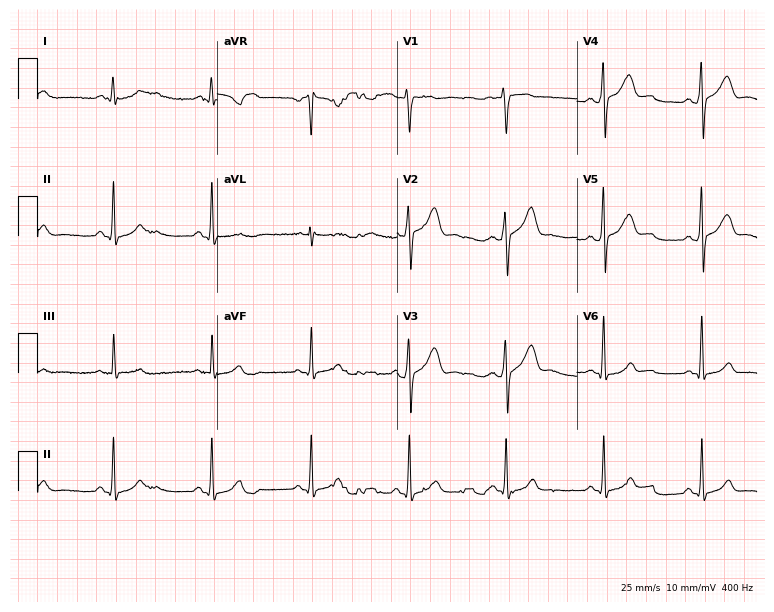
ECG — a 46-year-old male. Labelled as a normal ECG.